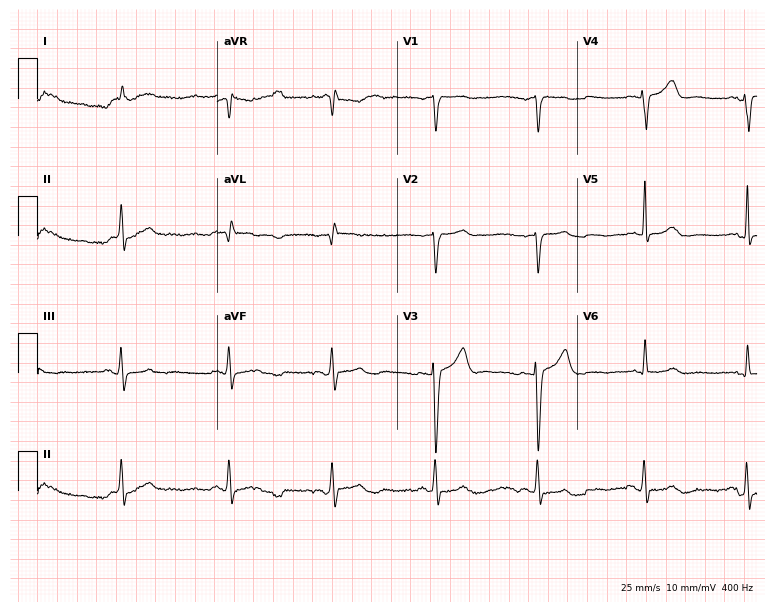
Resting 12-lead electrocardiogram (7.3-second recording at 400 Hz). Patient: an 84-year-old man. None of these six findings is recorded: first-degree AV block, right bundle branch block, left bundle branch block, sinus bradycardia, atrial fibrillation, sinus tachycardia. Findings outside these six are not listed.